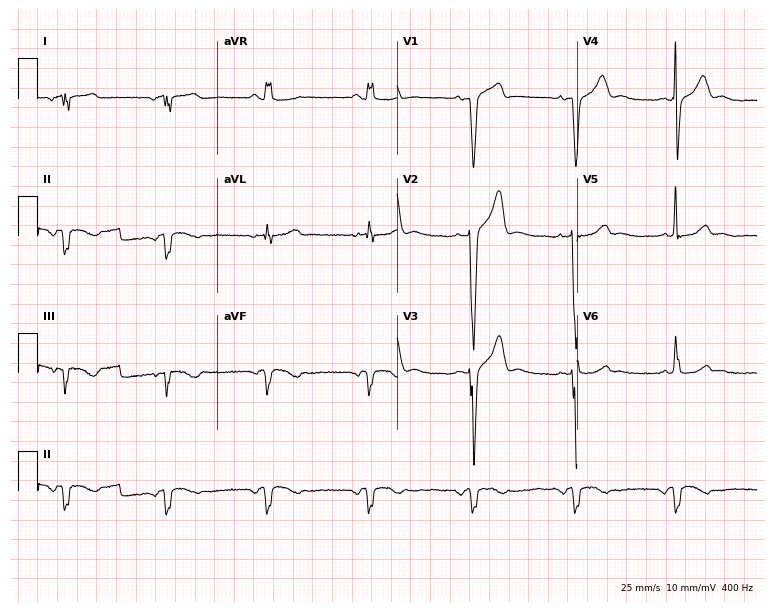
Standard 12-lead ECG recorded from a man, 66 years old. None of these six findings is recorded: first-degree AV block, right bundle branch block, left bundle branch block, sinus bradycardia, atrial fibrillation, sinus tachycardia.